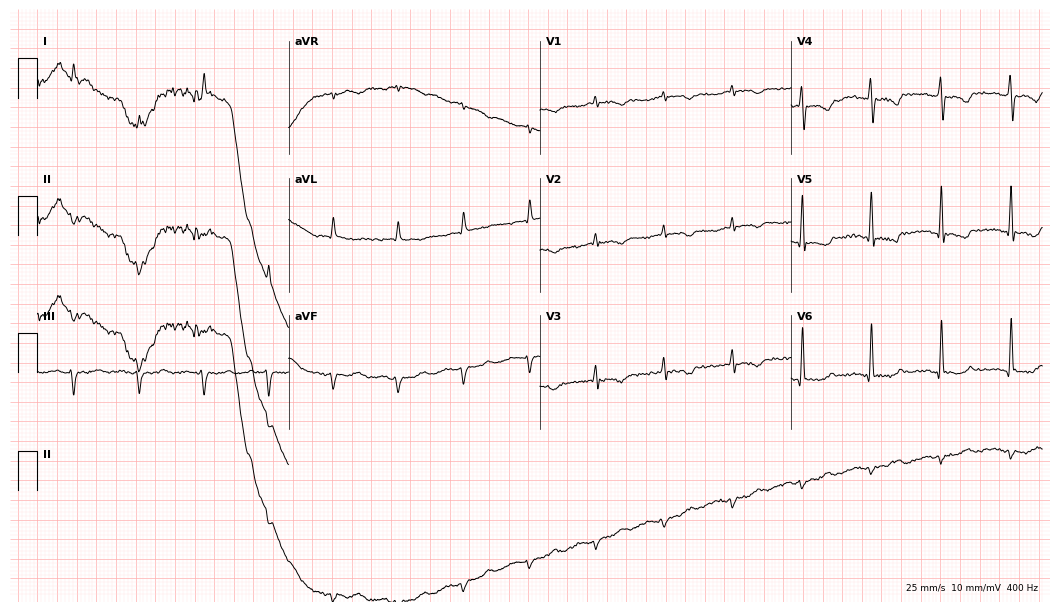
Standard 12-lead ECG recorded from an 80-year-old male (10.2-second recording at 400 Hz). None of these six findings is recorded: first-degree AV block, right bundle branch block, left bundle branch block, sinus bradycardia, atrial fibrillation, sinus tachycardia. Other findings, if any, are not listed.